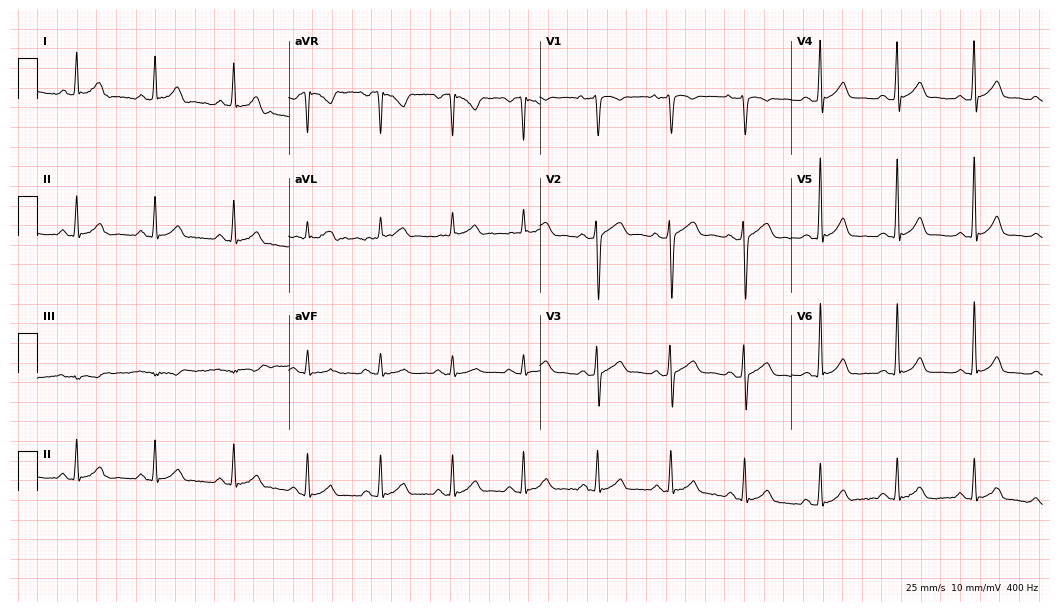
Electrocardiogram, a male, 37 years old. Overall reading on record: normal ECG.